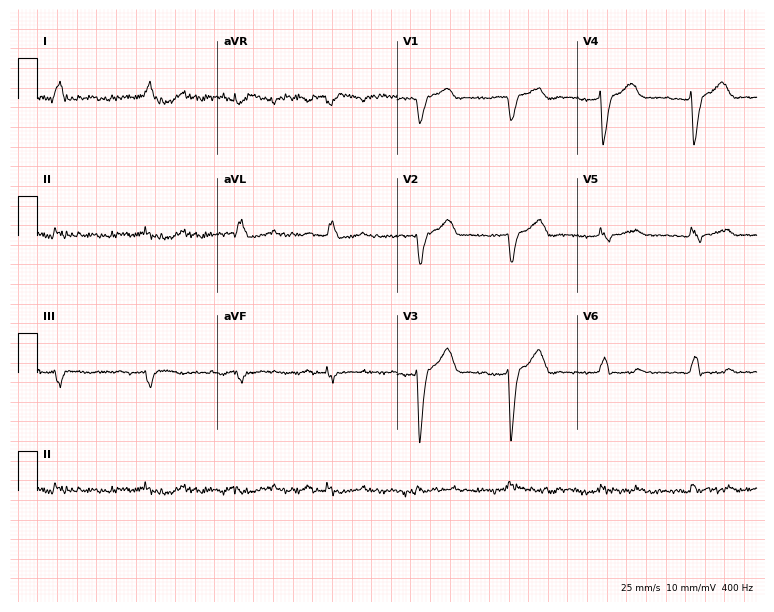
12-lead ECG from a male patient, 75 years old. No first-degree AV block, right bundle branch block (RBBB), left bundle branch block (LBBB), sinus bradycardia, atrial fibrillation (AF) or sinus tachycardia recorded for this tracing. Only these six findings were labelled.